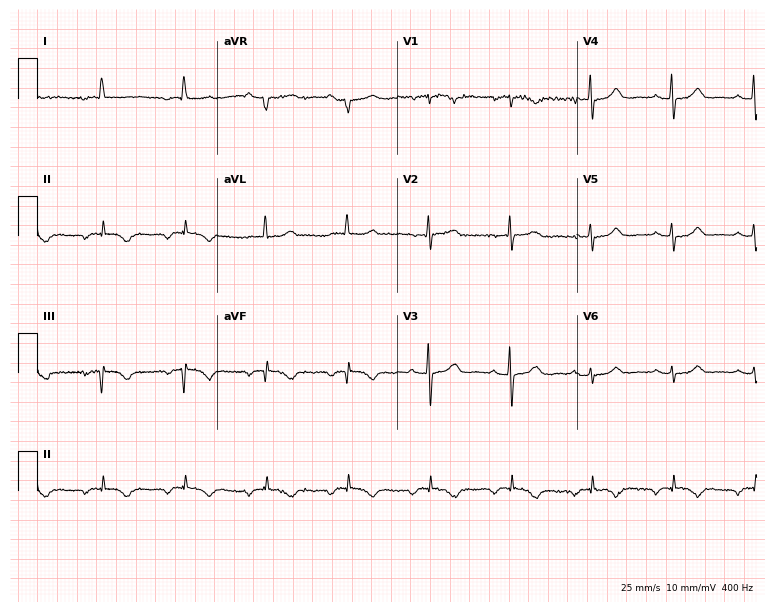
Resting 12-lead electrocardiogram. Patient: a 77-year-old woman. None of these six findings is recorded: first-degree AV block, right bundle branch block, left bundle branch block, sinus bradycardia, atrial fibrillation, sinus tachycardia.